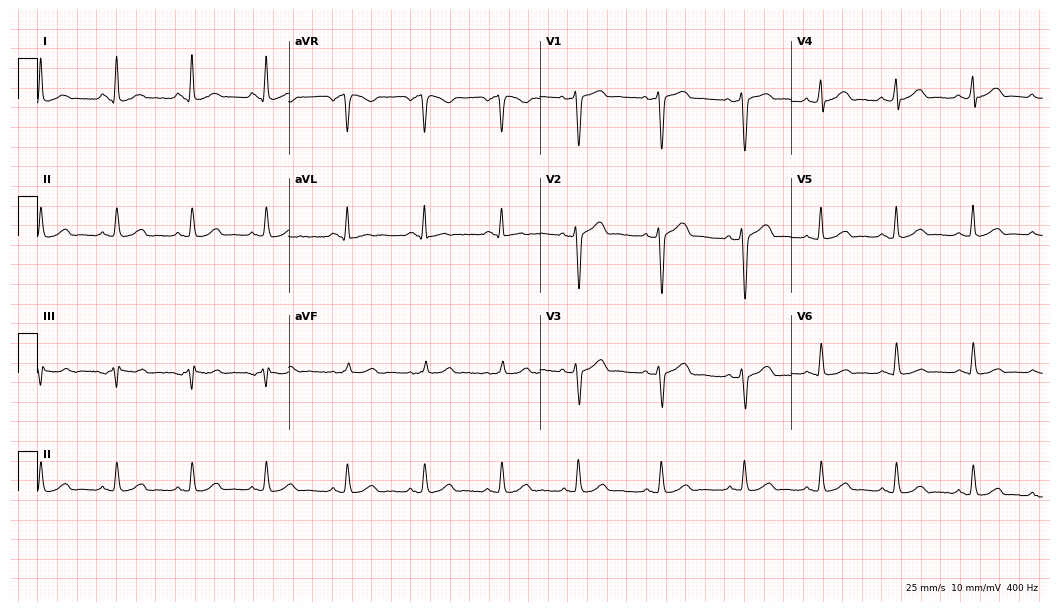
Standard 12-lead ECG recorded from a male patient, 33 years old. Read as a normal ECG.